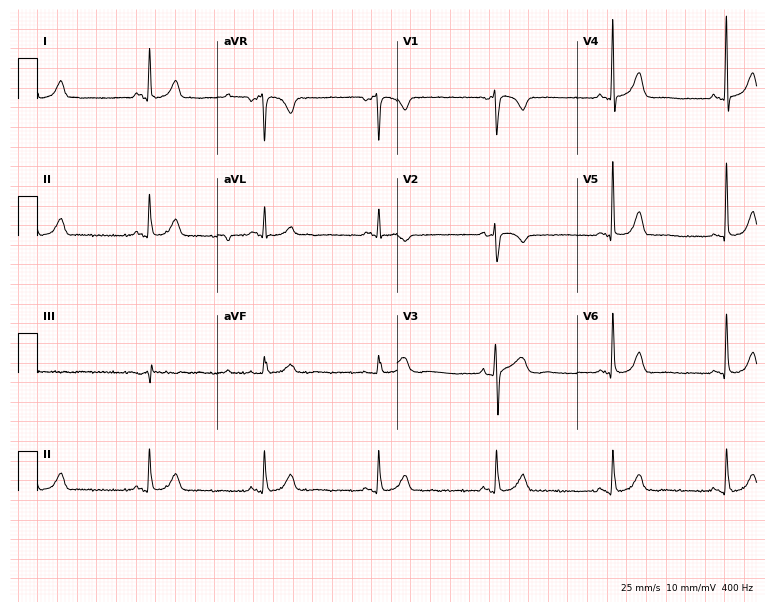
12-lead ECG (7.3-second recording at 400 Hz) from a 71-year-old female patient. Labelled as a normal ECG.